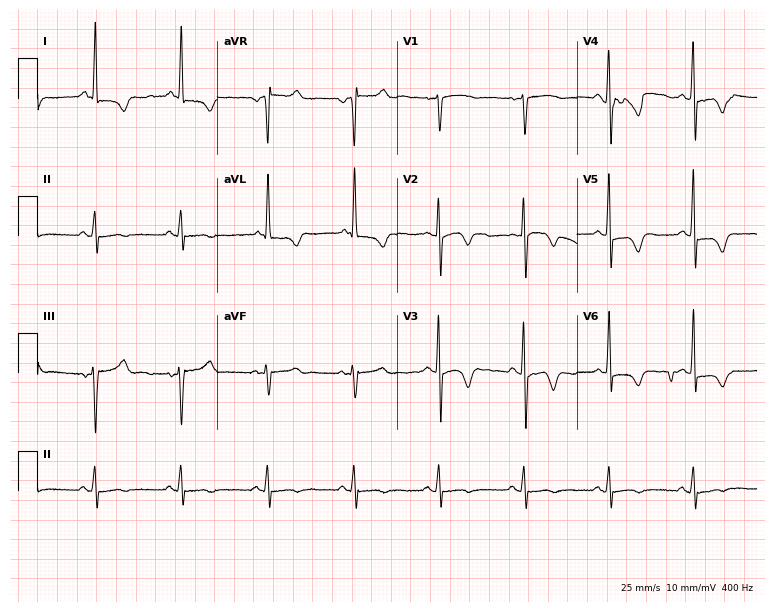
12-lead ECG (7.3-second recording at 400 Hz) from a 66-year-old woman. Labelled as a normal ECG.